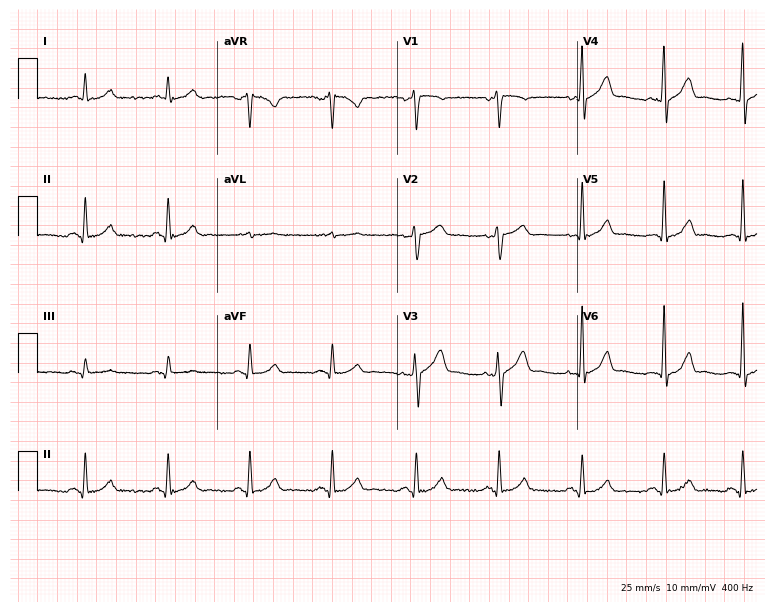
Standard 12-lead ECG recorded from a 51-year-old man. Read as a normal ECG.